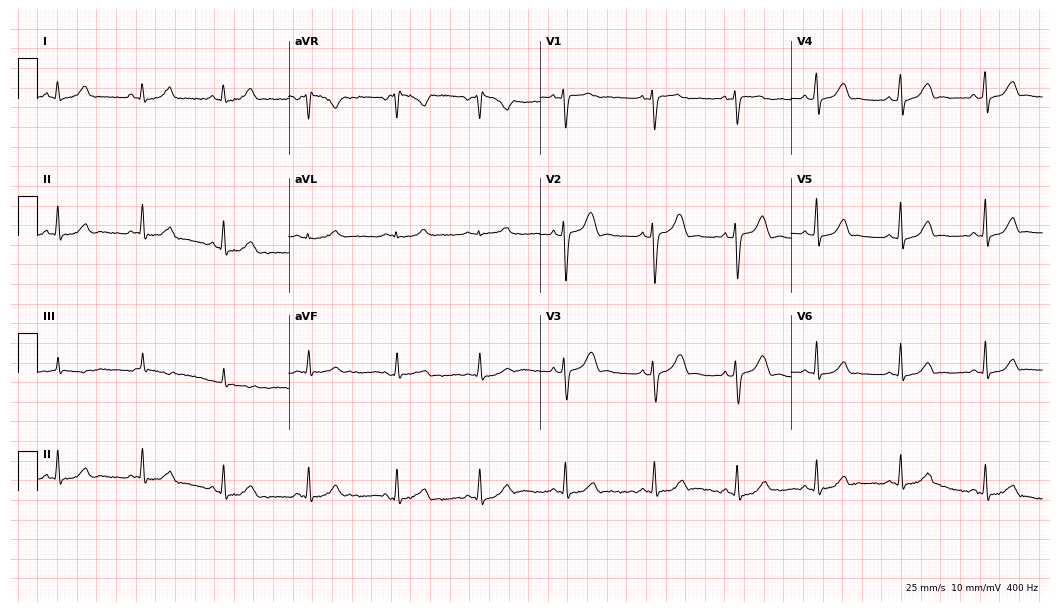
Standard 12-lead ECG recorded from a woman, 37 years old (10.2-second recording at 400 Hz). Read as a normal ECG.